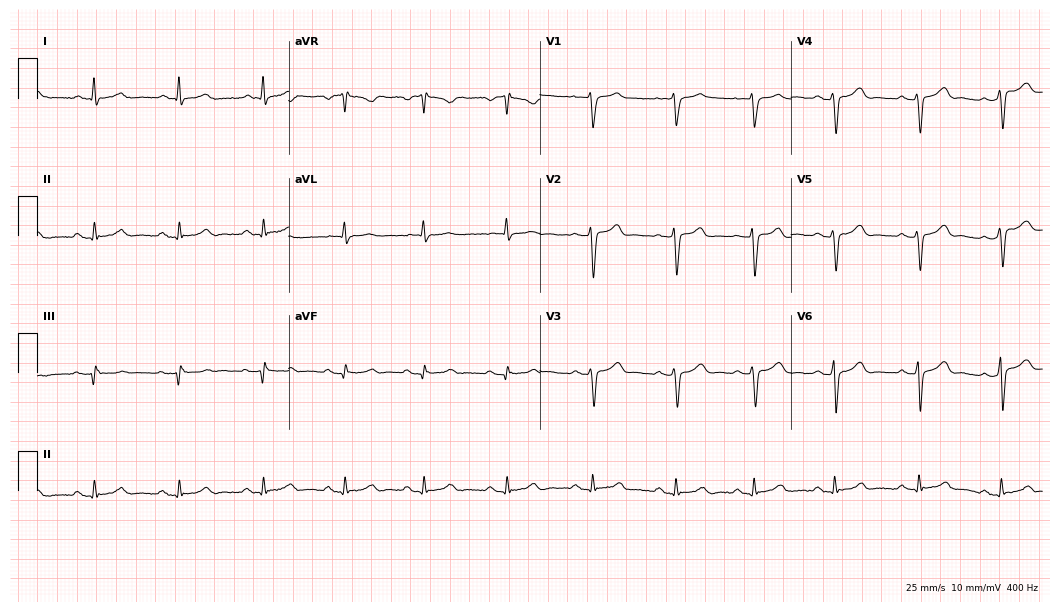
Resting 12-lead electrocardiogram. Patient: a 36-year-old woman. None of these six findings is recorded: first-degree AV block, right bundle branch block, left bundle branch block, sinus bradycardia, atrial fibrillation, sinus tachycardia.